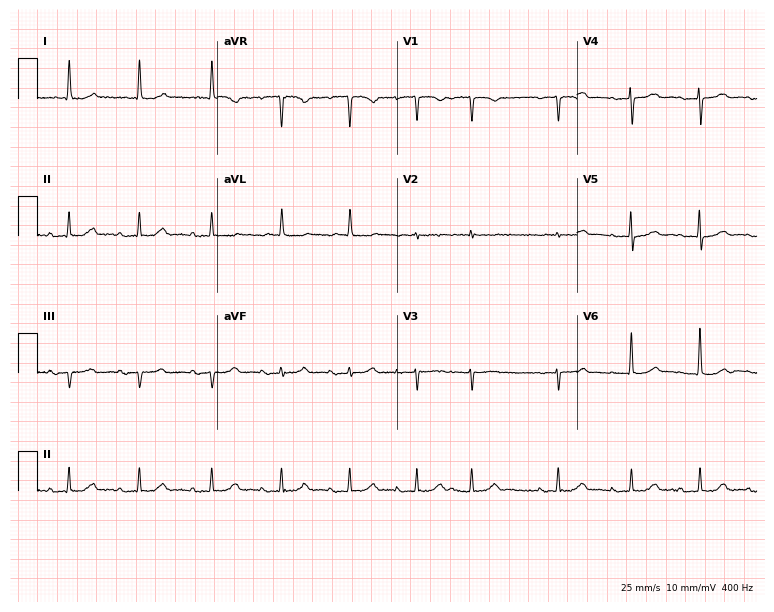
12-lead ECG from a woman, 78 years old. Findings include first-degree AV block.